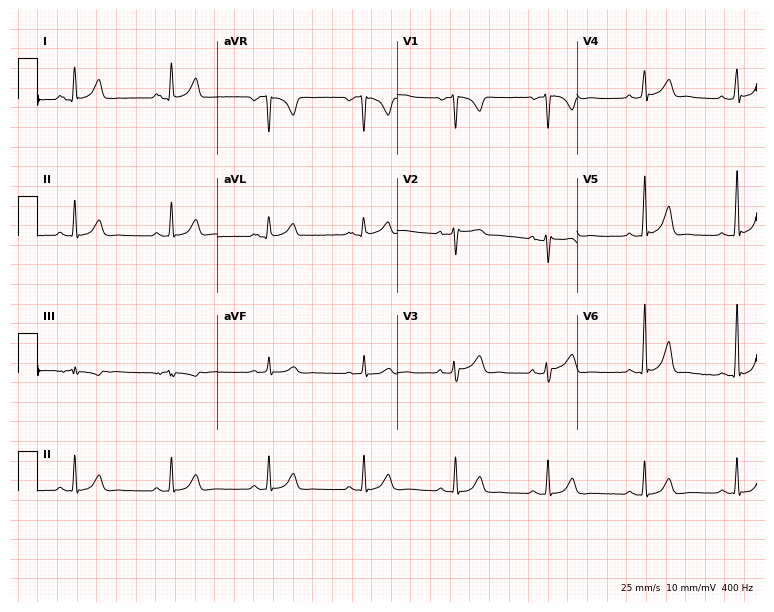
12-lead ECG from a female, 36 years old (7.3-second recording at 400 Hz). No first-degree AV block, right bundle branch block, left bundle branch block, sinus bradycardia, atrial fibrillation or sinus tachycardia recorded for this tracing. Only these six findings were labelled.